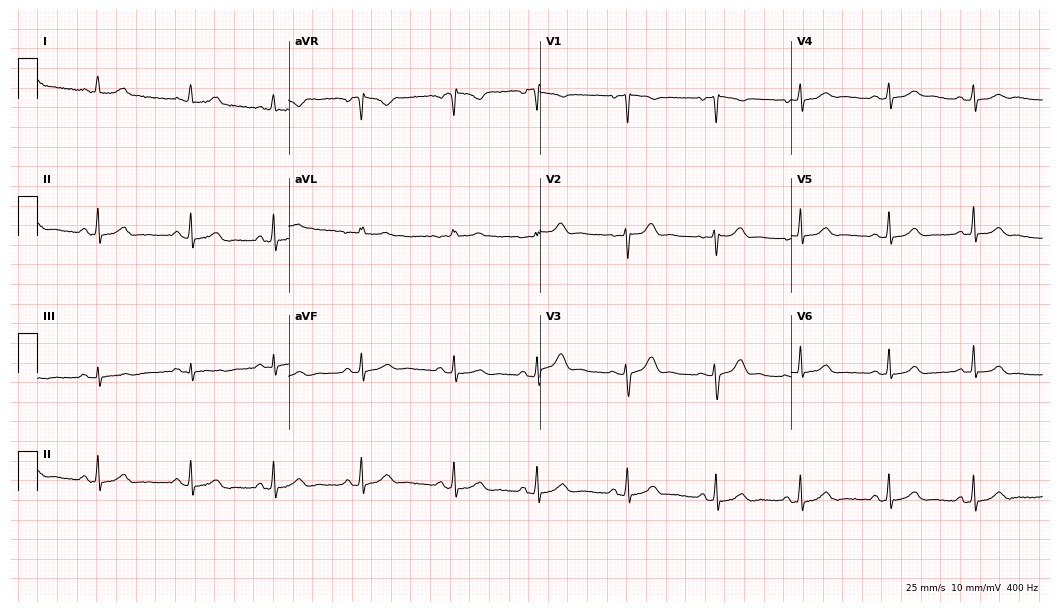
12-lead ECG from a 22-year-old woman (10.2-second recording at 400 Hz). Recorded interpretation: within normal limits.